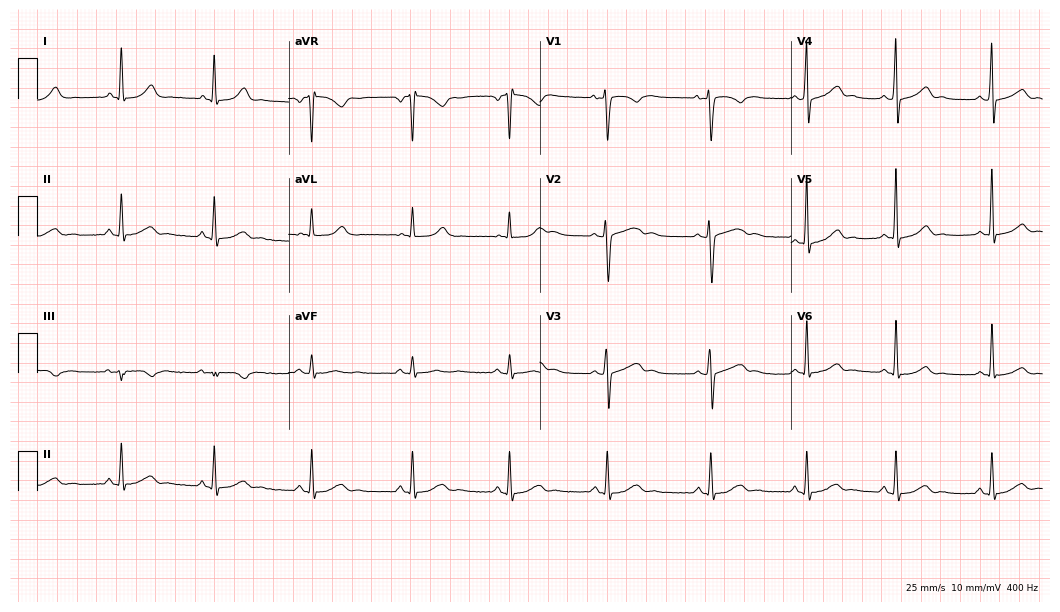
Electrocardiogram (10.2-second recording at 400 Hz), a 25-year-old female patient. Overall reading on record: normal ECG.